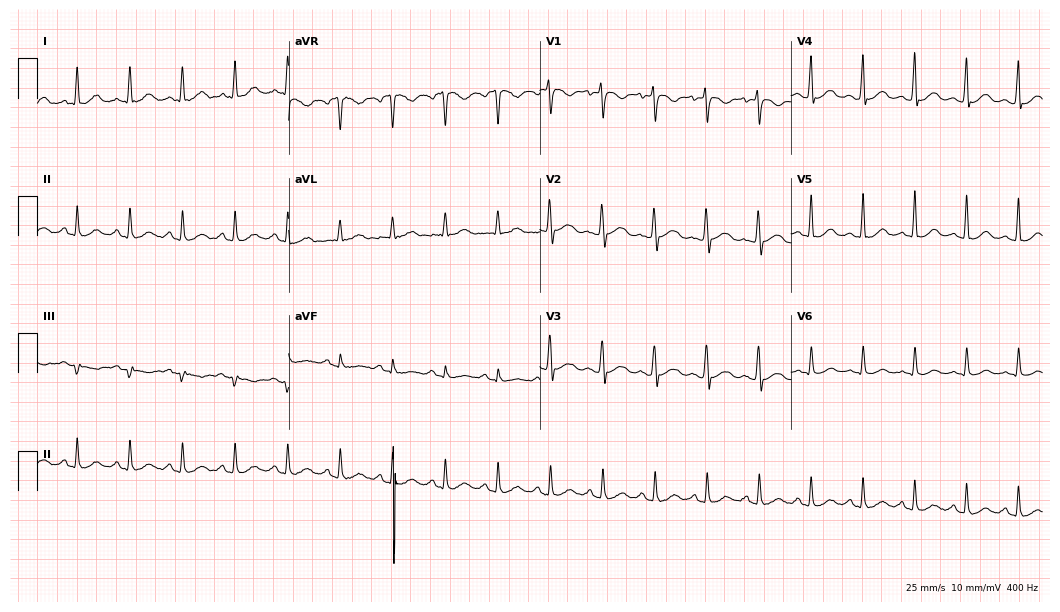
Standard 12-lead ECG recorded from a 30-year-old woman. None of these six findings is recorded: first-degree AV block, right bundle branch block, left bundle branch block, sinus bradycardia, atrial fibrillation, sinus tachycardia.